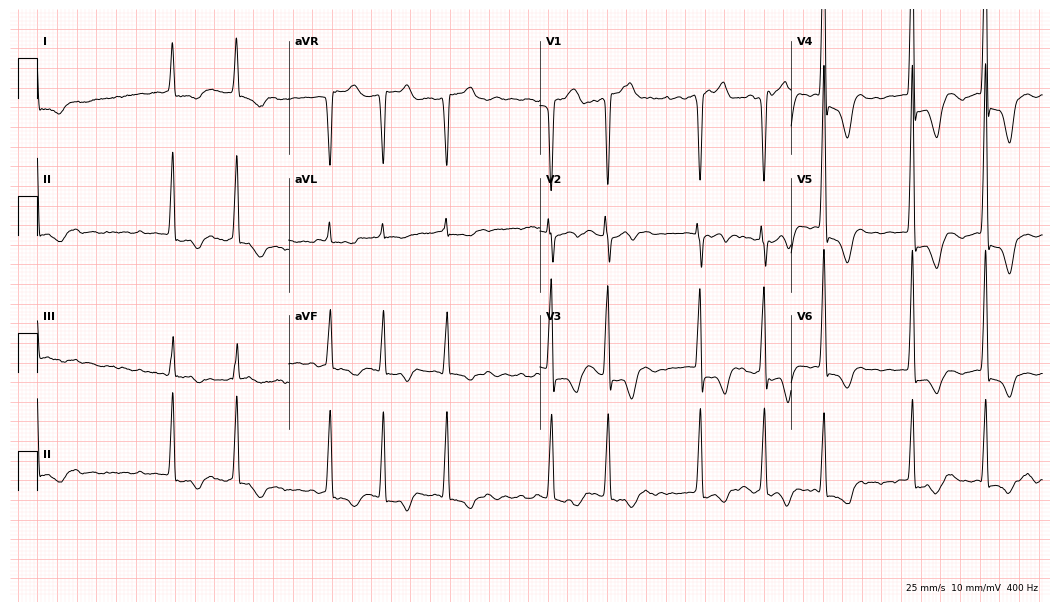
12-lead ECG from a 74-year-old female patient (10.2-second recording at 400 Hz). Shows atrial fibrillation.